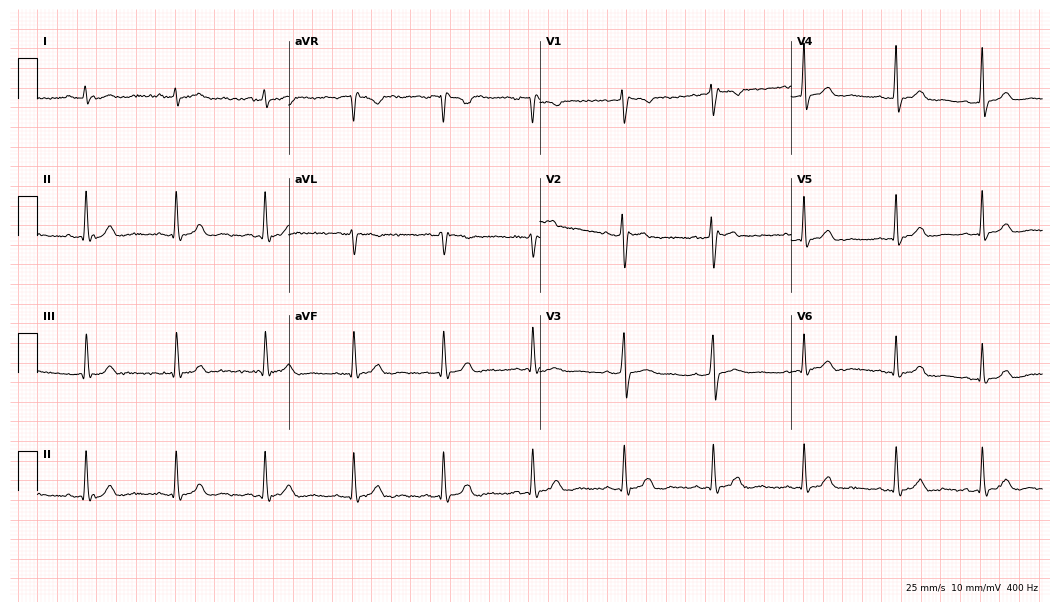
ECG (10.2-second recording at 400 Hz) — a female patient, 33 years old. Screened for six findings — first-degree AV block, right bundle branch block (RBBB), left bundle branch block (LBBB), sinus bradycardia, atrial fibrillation (AF), sinus tachycardia — none is recorded. Only these six findings were labelled.